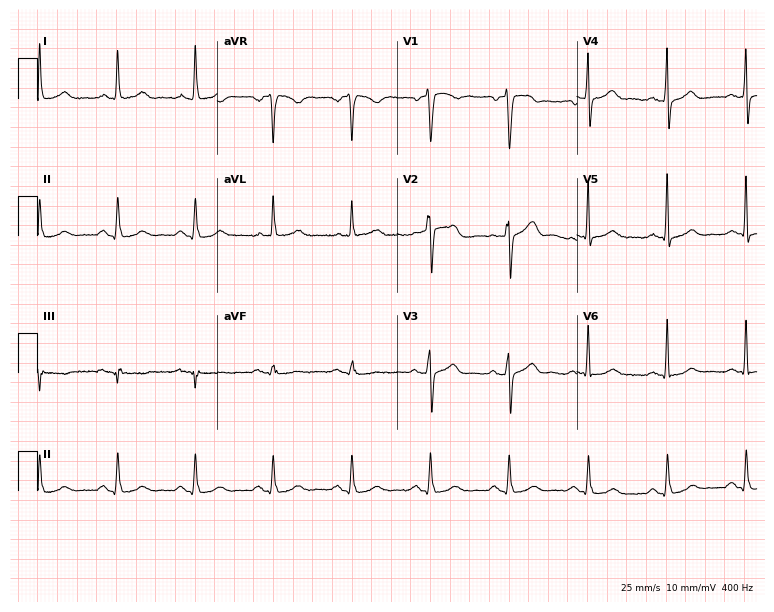
Electrocardiogram, a 52-year-old male. Overall reading on record: normal ECG.